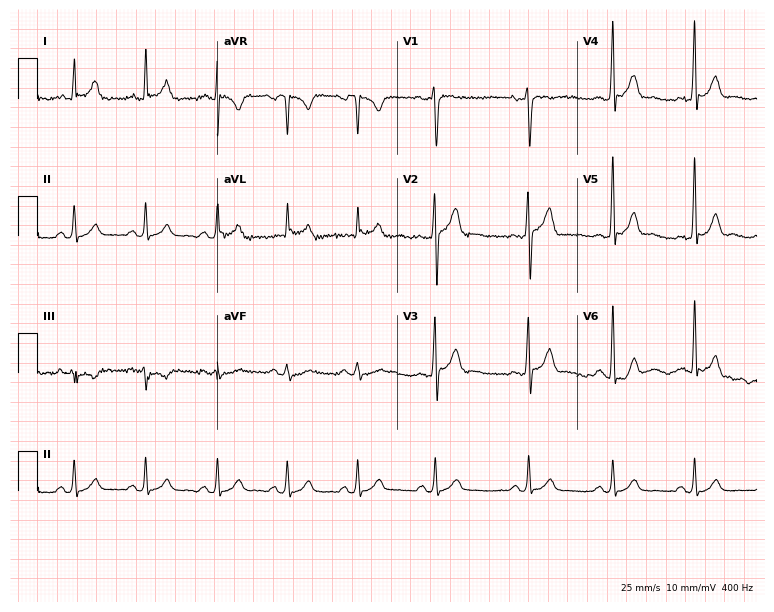
Resting 12-lead electrocardiogram. Patient: a 23-year-old male. Read as a normal ECG.